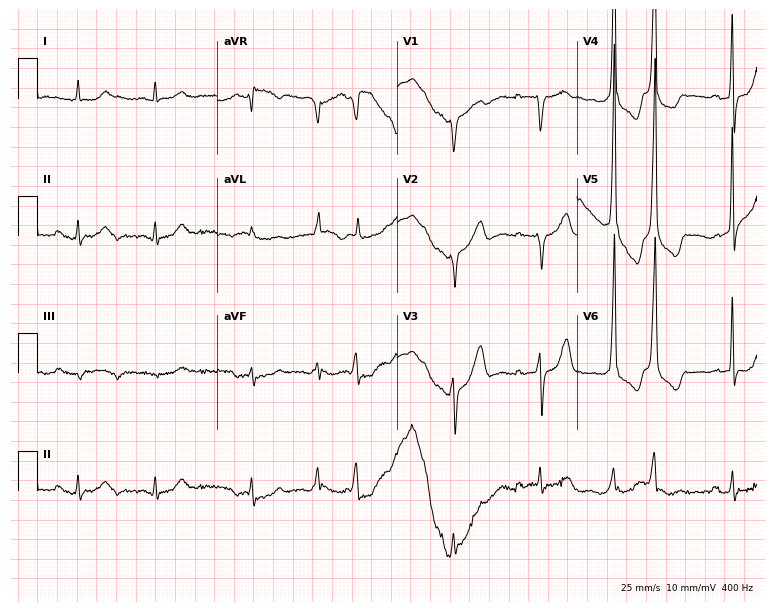
12-lead ECG (7.3-second recording at 400 Hz) from a 77-year-old male patient. Screened for six findings — first-degree AV block, right bundle branch block, left bundle branch block, sinus bradycardia, atrial fibrillation, sinus tachycardia — none is recorded.